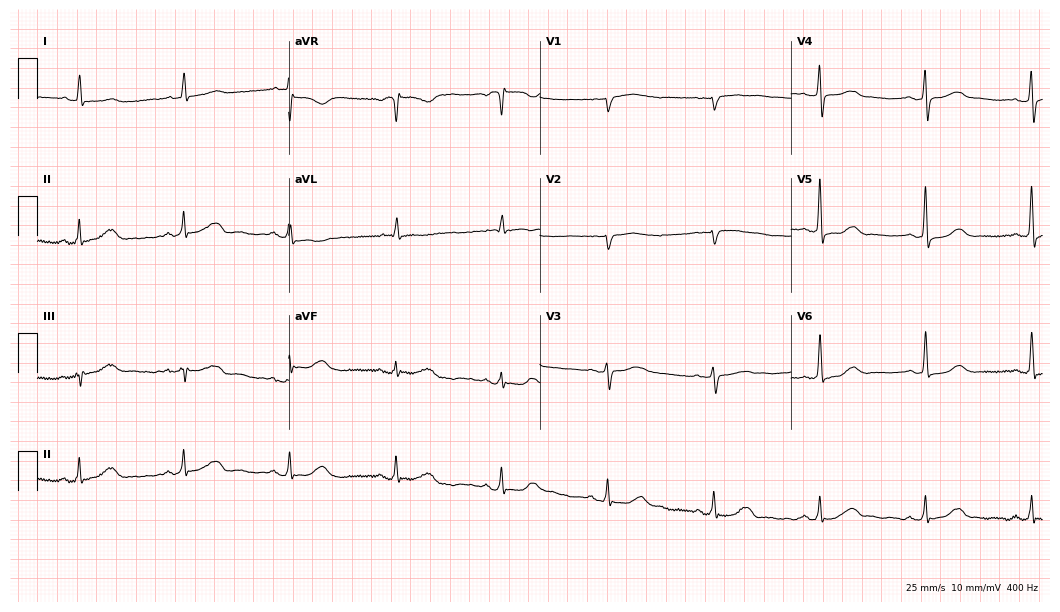
12-lead ECG from a 75-year-old male patient. Labelled as a normal ECG.